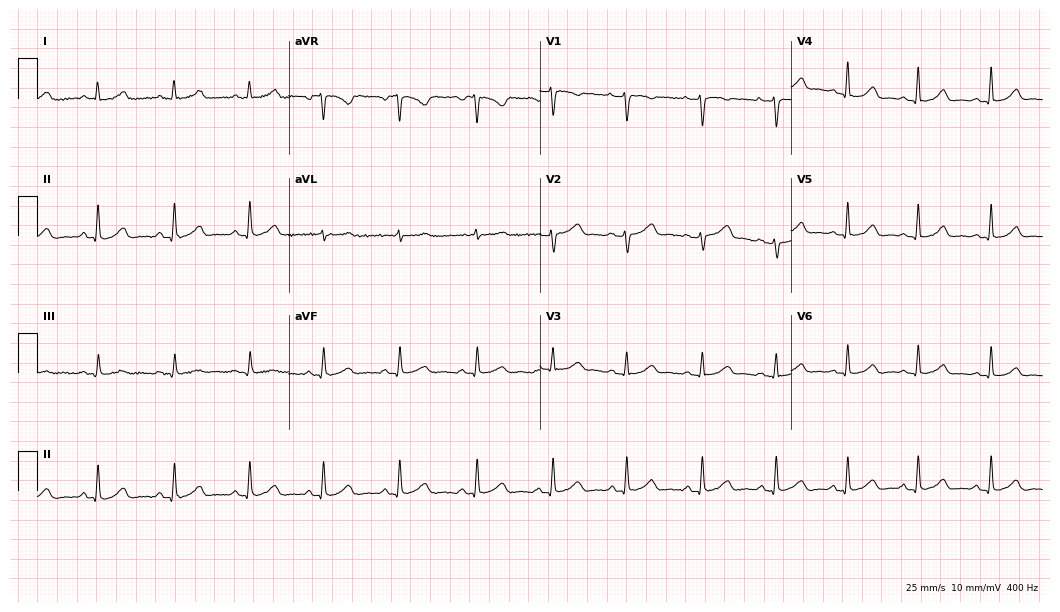
Resting 12-lead electrocardiogram. Patient: a 43-year-old female. Read as a normal ECG.